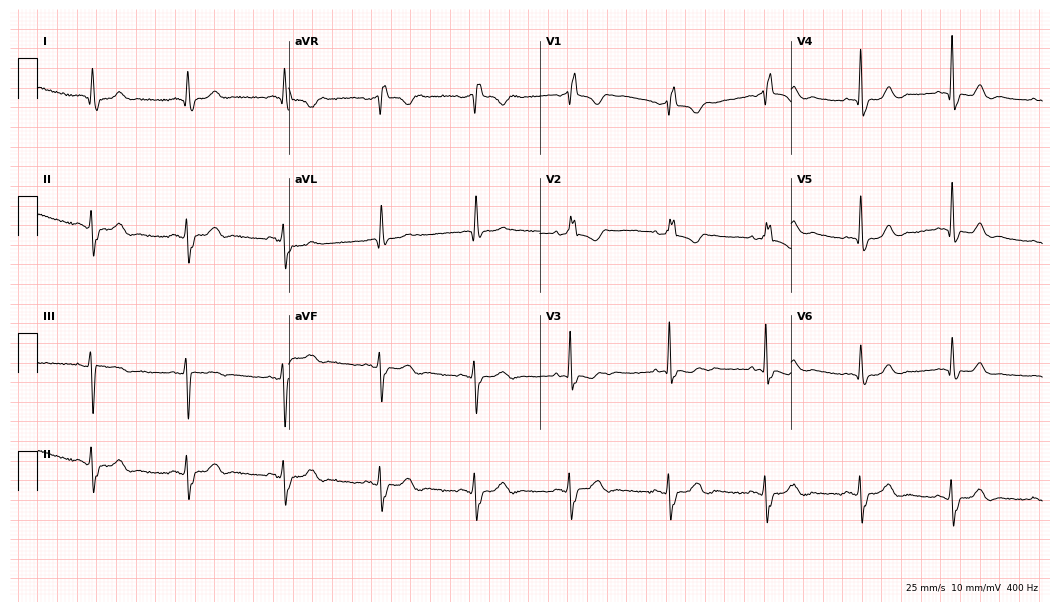
Electrocardiogram, a 77-year-old woman. Interpretation includes right bundle branch block.